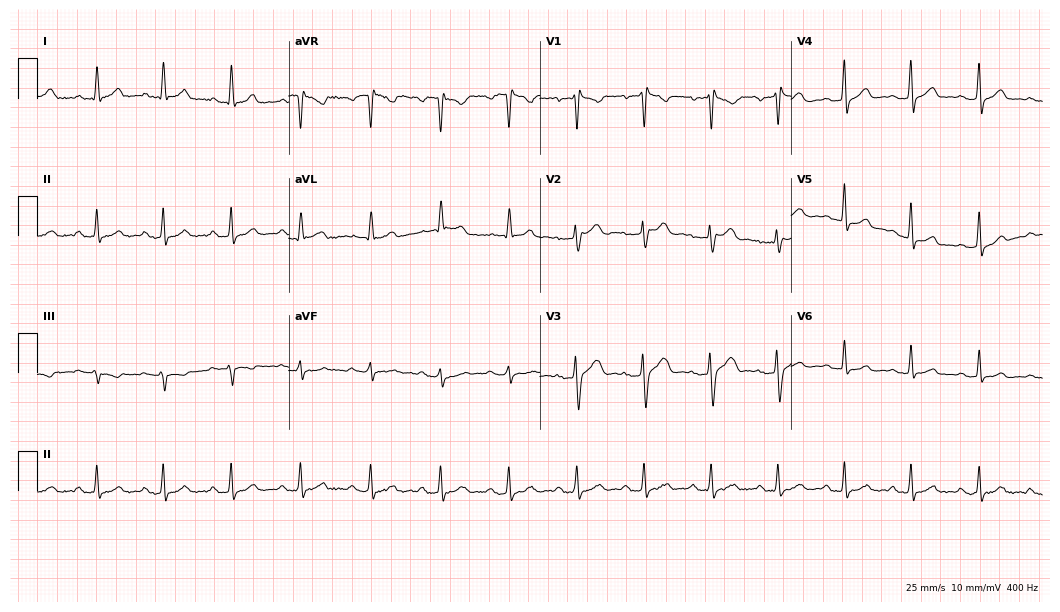
ECG (10.2-second recording at 400 Hz) — a 30-year-old male. Screened for six findings — first-degree AV block, right bundle branch block, left bundle branch block, sinus bradycardia, atrial fibrillation, sinus tachycardia — none is recorded.